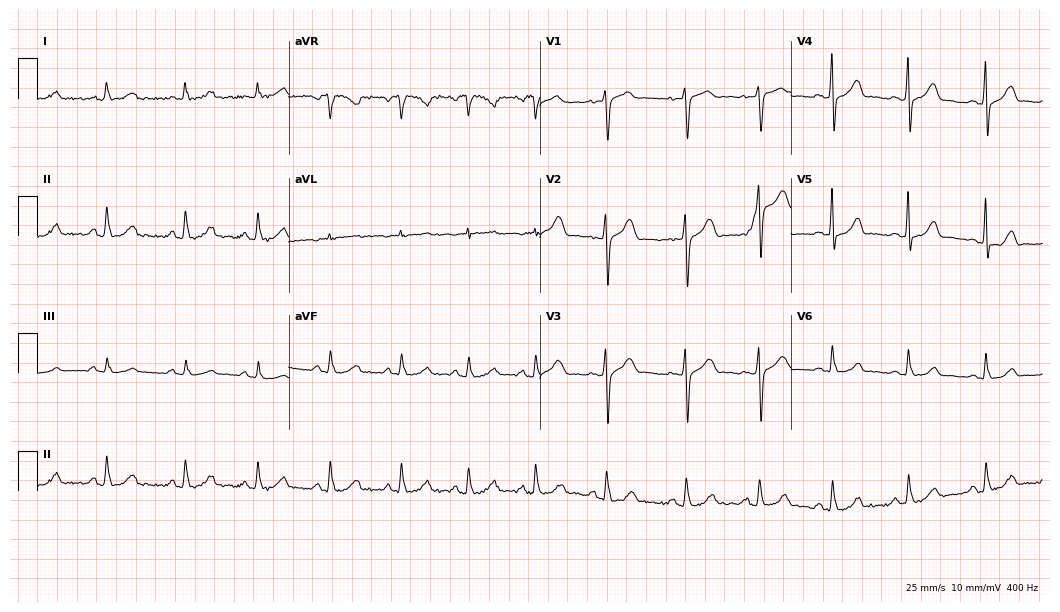
ECG (10.2-second recording at 400 Hz) — a 25-year-old female patient. Labelled as a normal ECG.